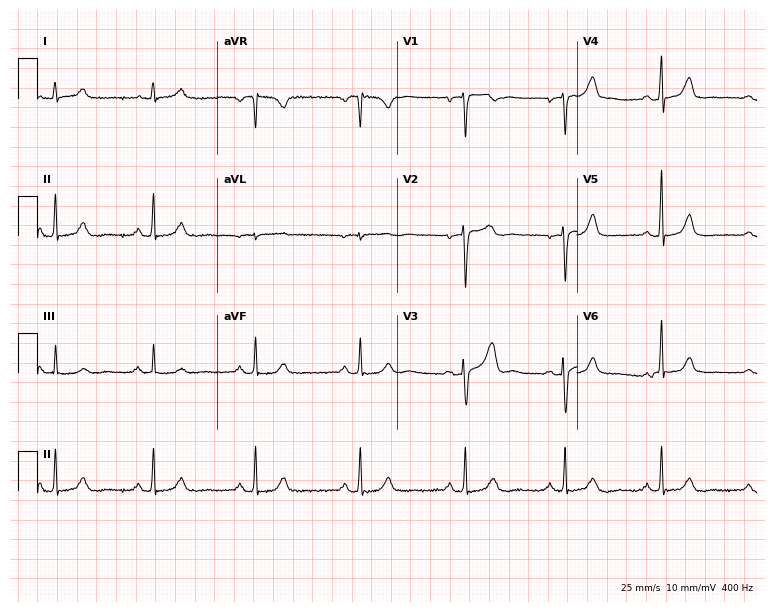
ECG — a 57-year-old female patient. Screened for six findings — first-degree AV block, right bundle branch block (RBBB), left bundle branch block (LBBB), sinus bradycardia, atrial fibrillation (AF), sinus tachycardia — none is recorded.